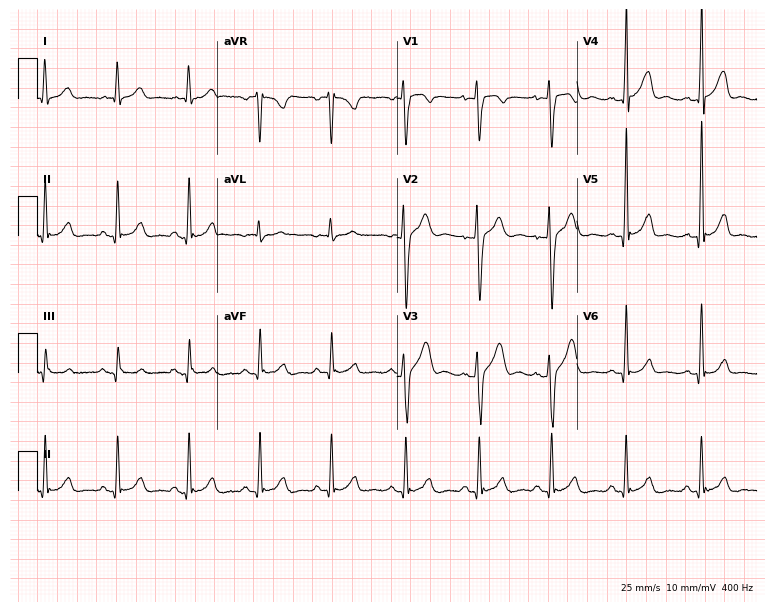
12-lead ECG from a 27-year-old man. Labelled as a normal ECG.